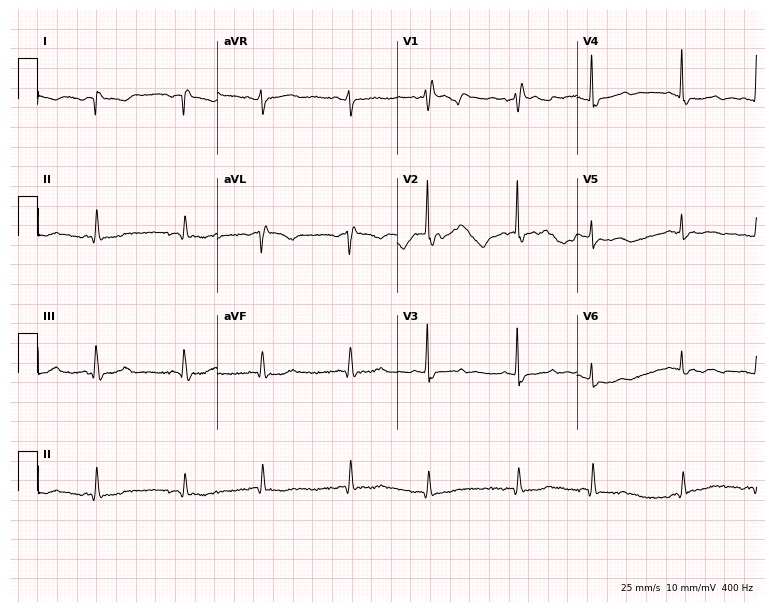
Electrocardiogram, a 72-year-old female. Of the six screened findings (first-degree AV block, right bundle branch block (RBBB), left bundle branch block (LBBB), sinus bradycardia, atrial fibrillation (AF), sinus tachycardia), none is recorded. Findings outside these six are not listed.